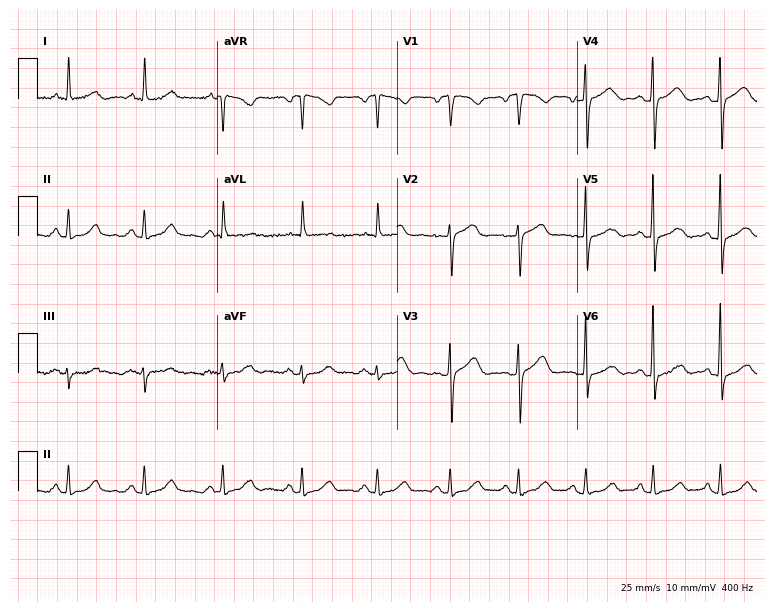
12-lead ECG from a 53-year-old woman (7.3-second recording at 400 Hz). Recorded interpretation: within normal limits.